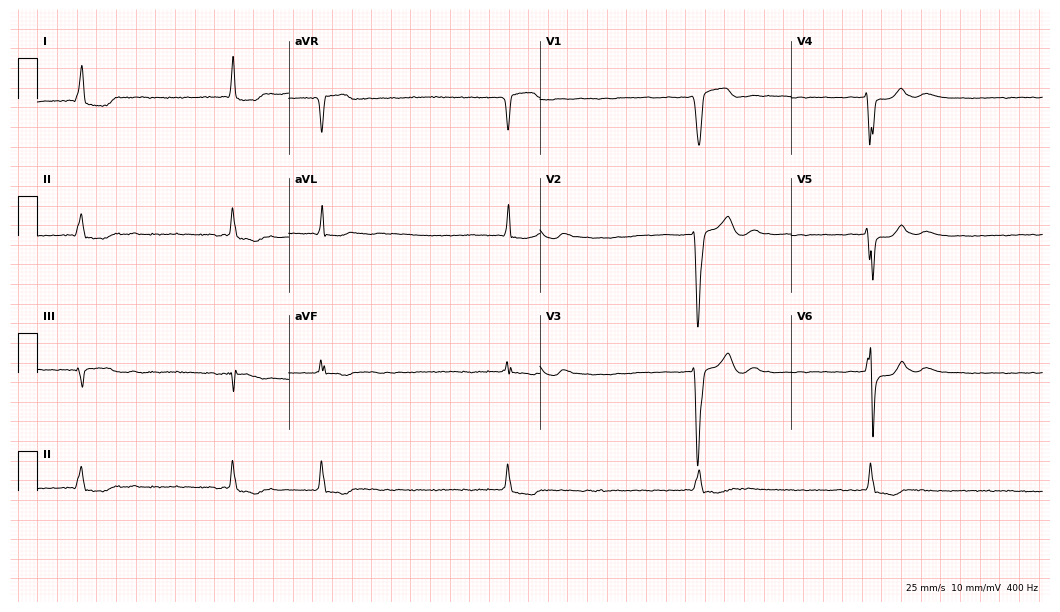
12-lead ECG from a male patient, 81 years old. Shows atrial fibrillation (AF).